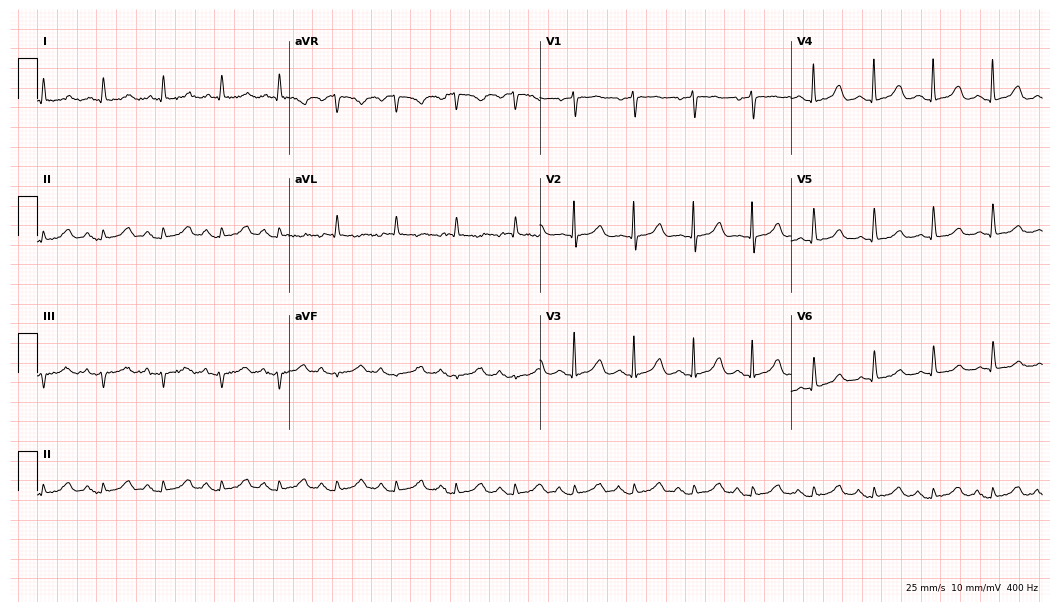
12-lead ECG (10.2-second recording at 400 Hz) from a female patient, 79 years old. Screened for six findings — first-degree AV block, right bundle branch block, left bundle branch block, sinus bradycardia, atrial fibrillation, sinus tachycardia — none is recorded. Only these six findings were labelled.